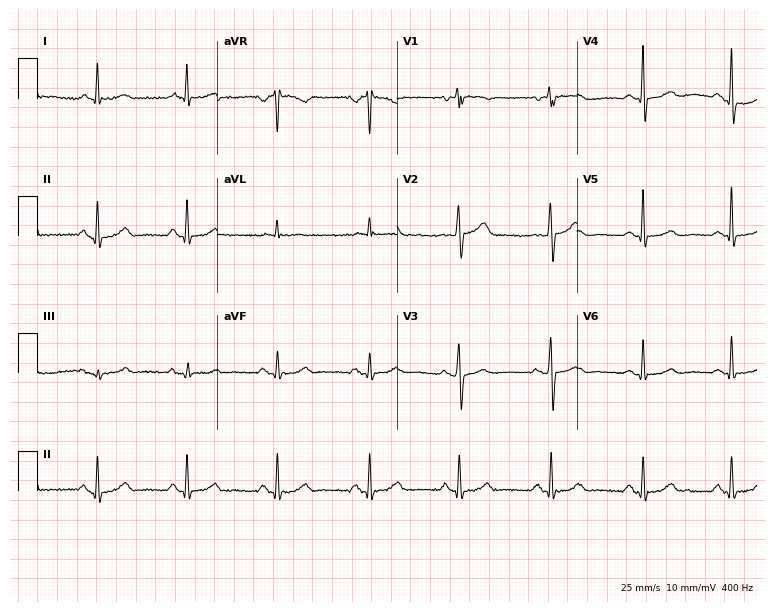
Electrocardiogram (7.3-second recording at 400 Hz), a 72-year-old woman. Overall reading on record: normal ECG.